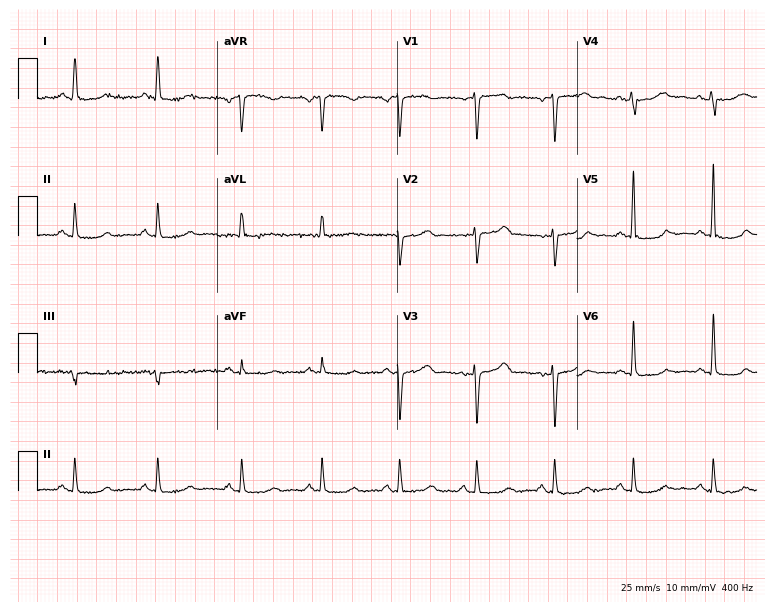
Standard 12-lead ECG recorded from a 59-year-old female patient. None of these six findings is recorded: first-degree AV block, right bundle branch block, left bundle branch block, sinus bradycardia, atrial fibrillation, sinus tachycardia. Other findings, if any, are not listed.